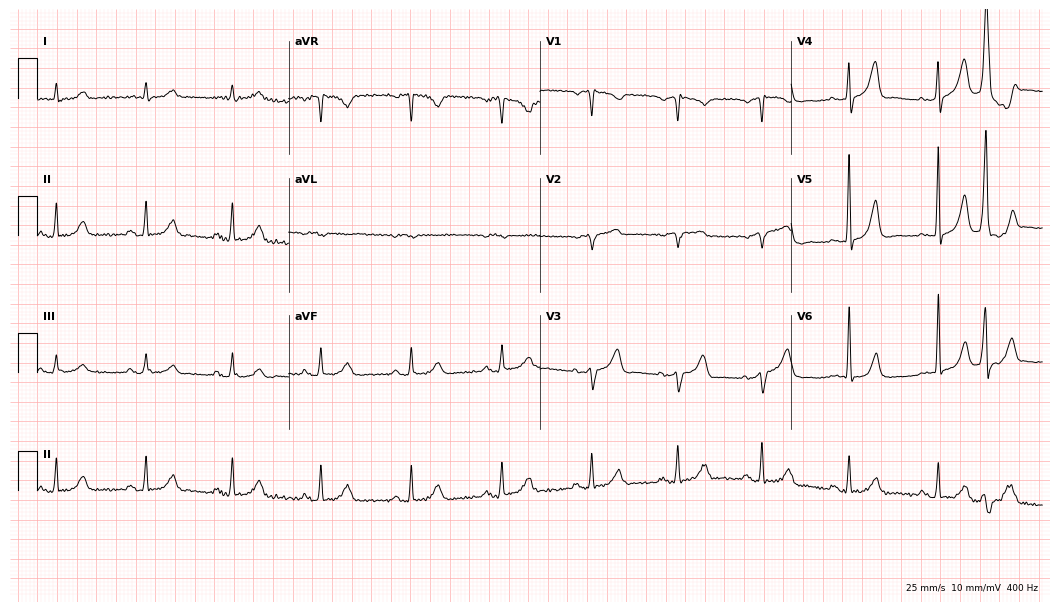
Resting 12-lead electrocardiogram. Patient: a 68-year-old man. None of these six findings is recorded: first-degree AV block, right bundle branch block (RBBB), left bundle branch block (LBBB), sinus bradycardia, atrial fibrillation (AF), sinus tachycardia. Only these six findings were labelled.